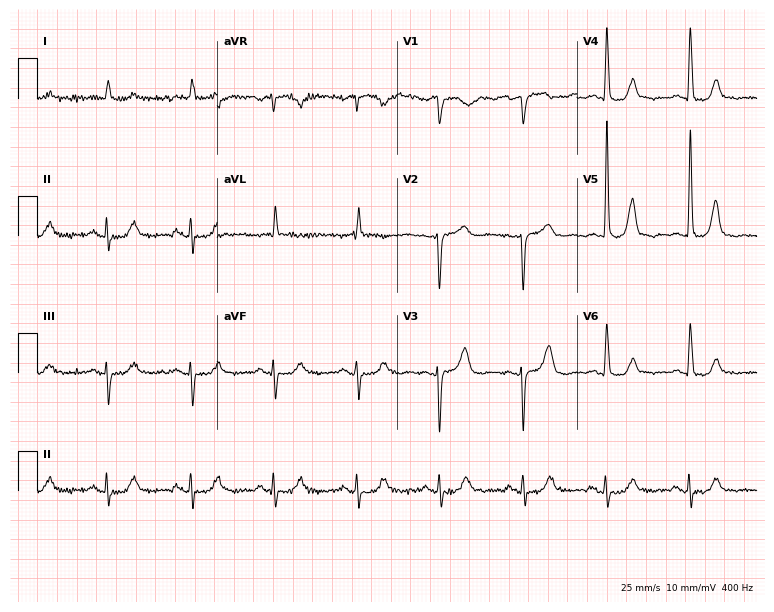
Electrocardiogram, a 78-year-old female. Of the six screened findings (first-degree AV block, right bundle branch block, left bundle branch block, sinus bradycardia, atrial fibrillation, sinus tachycardia), none is recorded.